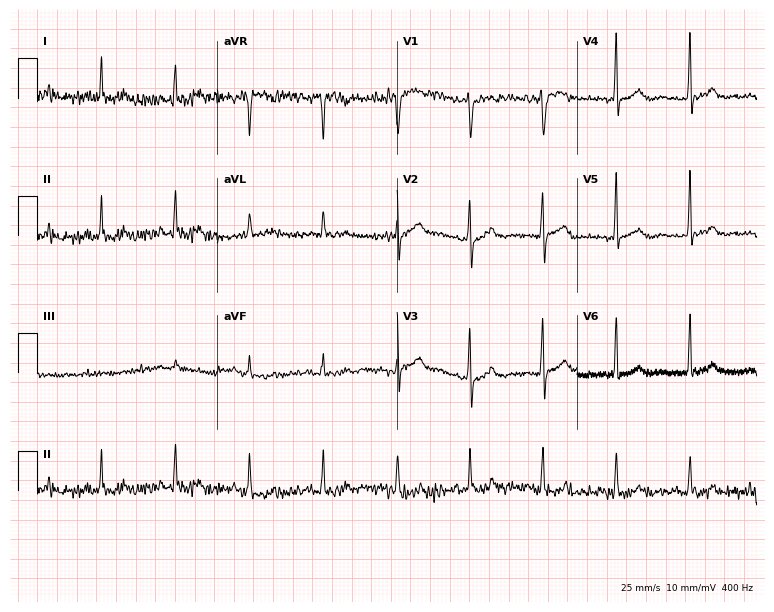
Electrocardiogram, a female, 63 years old. Of the six screened findings (first-degree AV block, right bundle branch block, left bundle branch block, sinus bradycardia, atrial fibrillation, sinus tachycardia), none is recorded. Only these six findings were labelled.